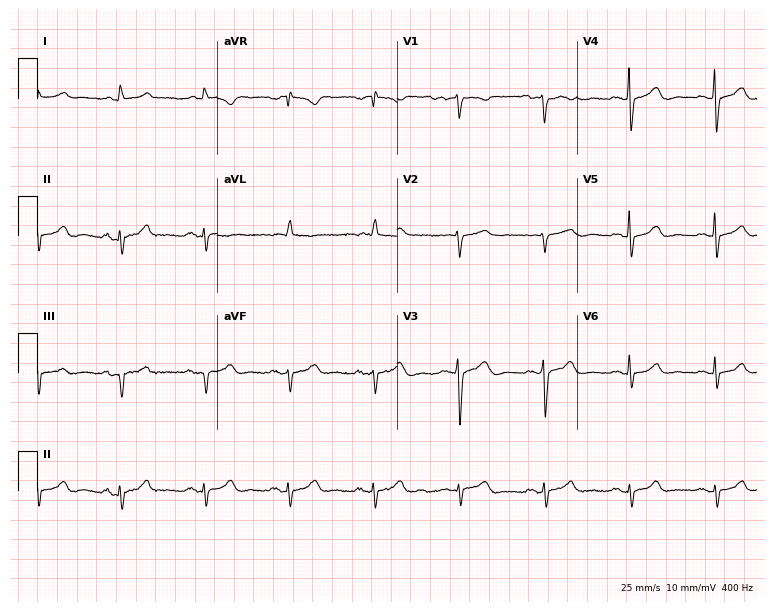
ECG (7.3-second recording at 400 Hz) — a man, 80 years old. Screened for six findings — first-degree AV block, right bundle branch block, left bundle branch block, sinus bradycardia, atrial fibrillation, sinus tachycardia — none is recorded.